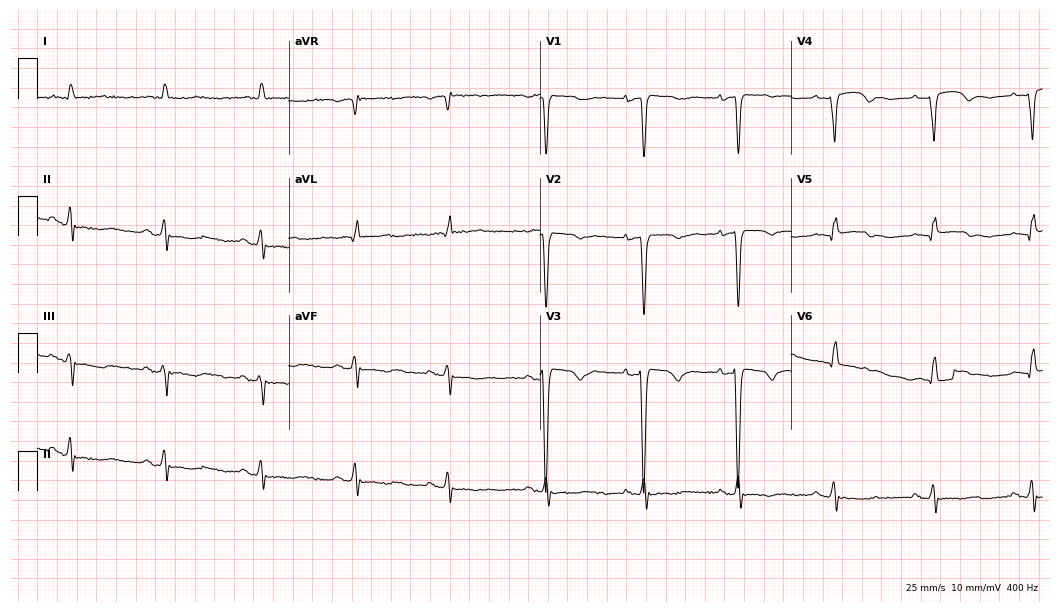
12-lead ECG from a 73-year-old female patient. No first-degree AV block, right bundle branch block (RBBB), left bundle branch block (LBBB), sinus bradycardia, atrial fibrillation (AF) or sinus tachycardia recorded for this tracing.